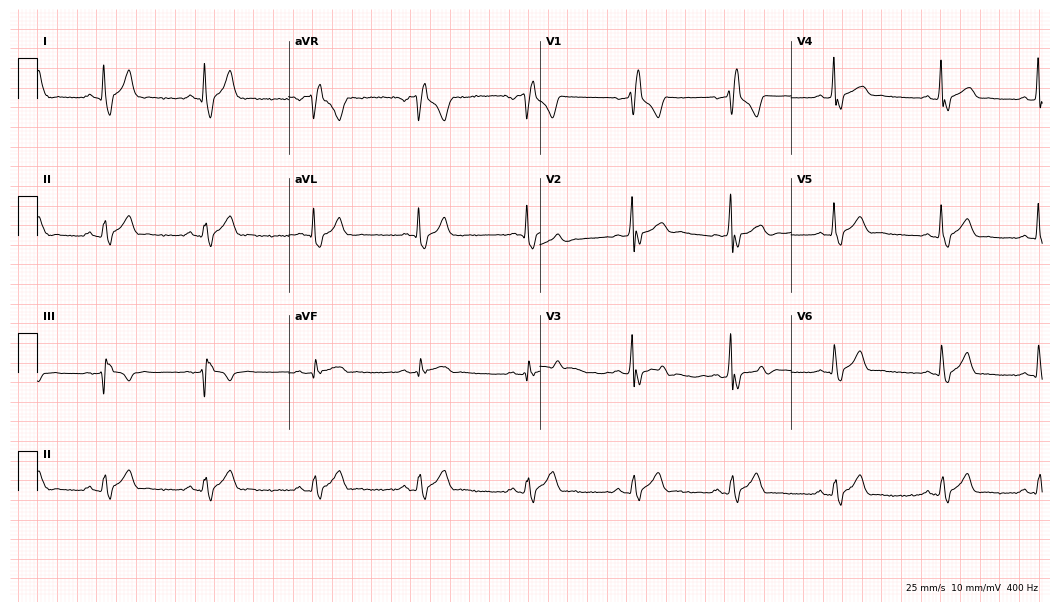
12-lead ECG from a man, 37 years old (10.2-second recording at 400 Hz). Shows right bundle branch block.